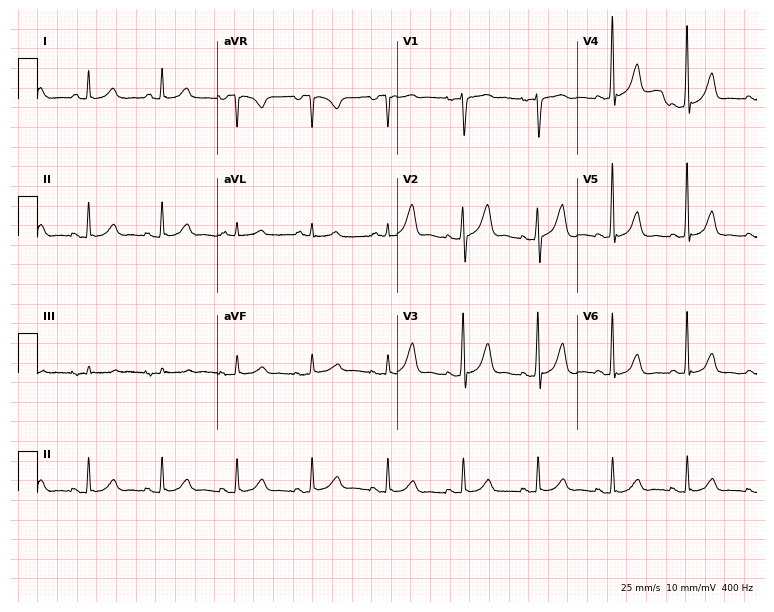
12-lead ECG (7.3-second recording at 400 Hz) from a 50-year-old male. Labelled as a normal ECG.